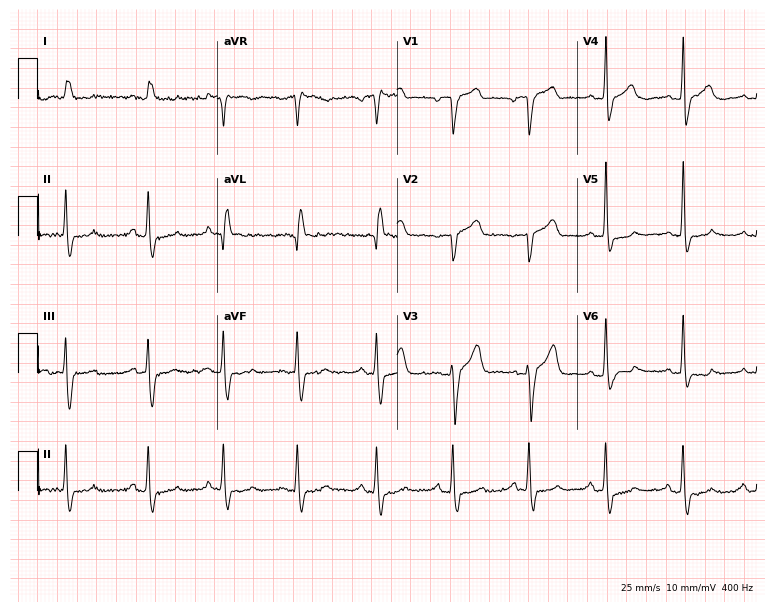
12-lead ECG (7.3-second recording at 400 Hz) from a male, 85 years old. Screened for six findings — first-degree AV block, right bundle branch block, left bundle branch block, sinus bradycardia, atrial fibrillation, sinus tachycardia — none is recorded. Only these six findings were labelled.